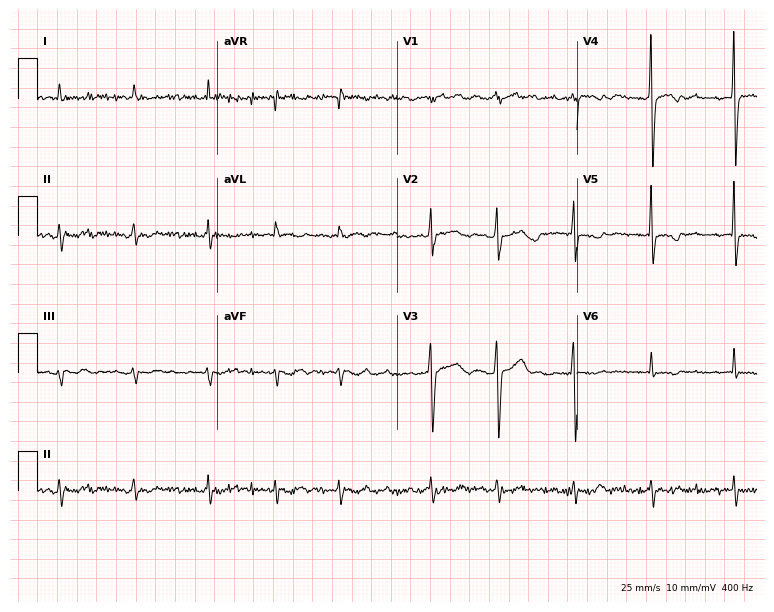
ECG — an 81-year-old man. Screened for six findings — first-degree AV block, right bundle branch block, left bundle branch block, sinus bradycardia, atrial fibrillation, sinus tachycardia — none is recorded. Findings outside these six are not listed.